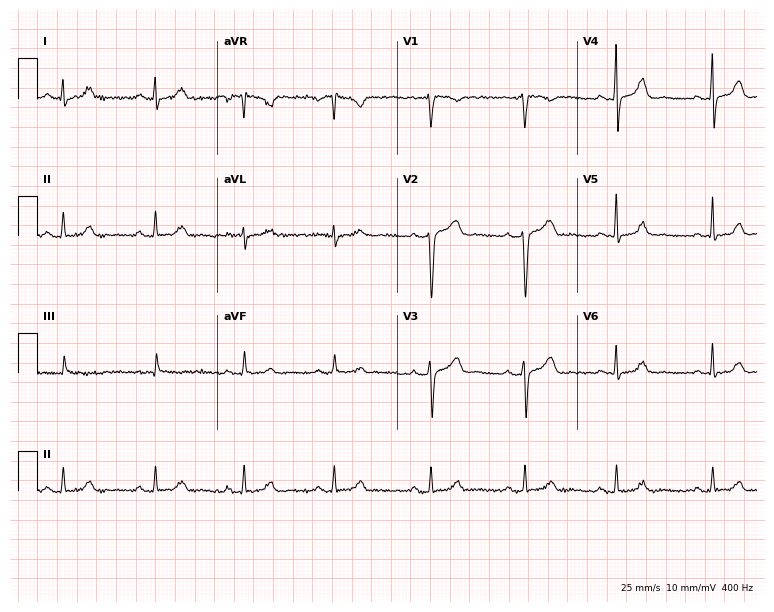
Electrocardiogram, a female, 34 years old. Overall reading on record: normal ECG.